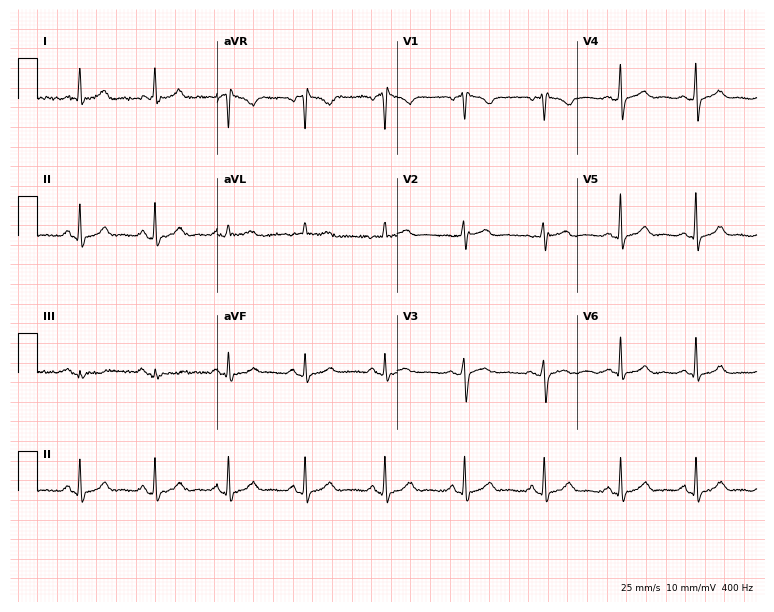
12-lead ECG (7.3-second recording at 400 Hz) from a 59-year-old woman. Screened for six findings — first-degree AV block, right bundle branch block (RBBB), left bundle branch block (LBBB), sinus bradycardia, atrial fibrillation (AF), sinus tachycardia — none is recorded.